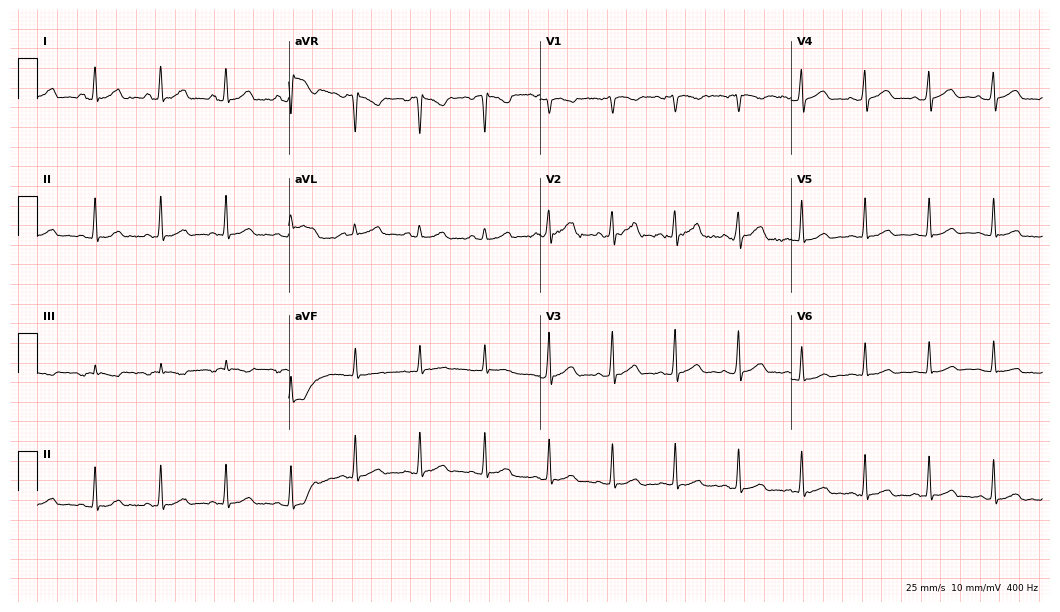
Resting 12-lead electrocardiogram (10.2-second recording at 400 Hz). Patient: a 46-year-old female. Read as a normal ECG.